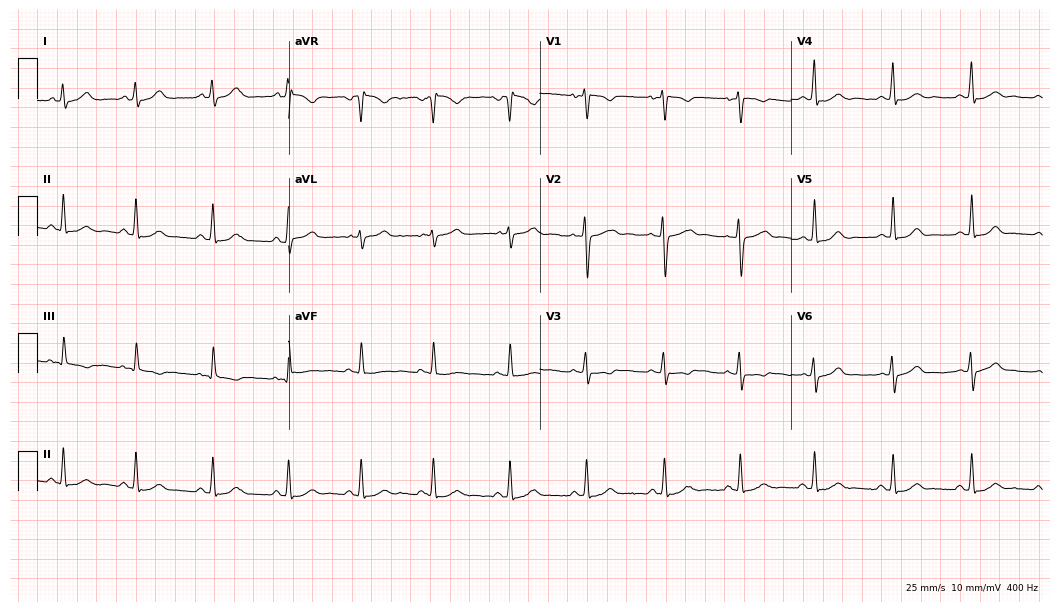
Electrocardiogram (10.2-second recording at 400 Hz), a 17-year-old female patient. Overall reading on record: normal ECG.